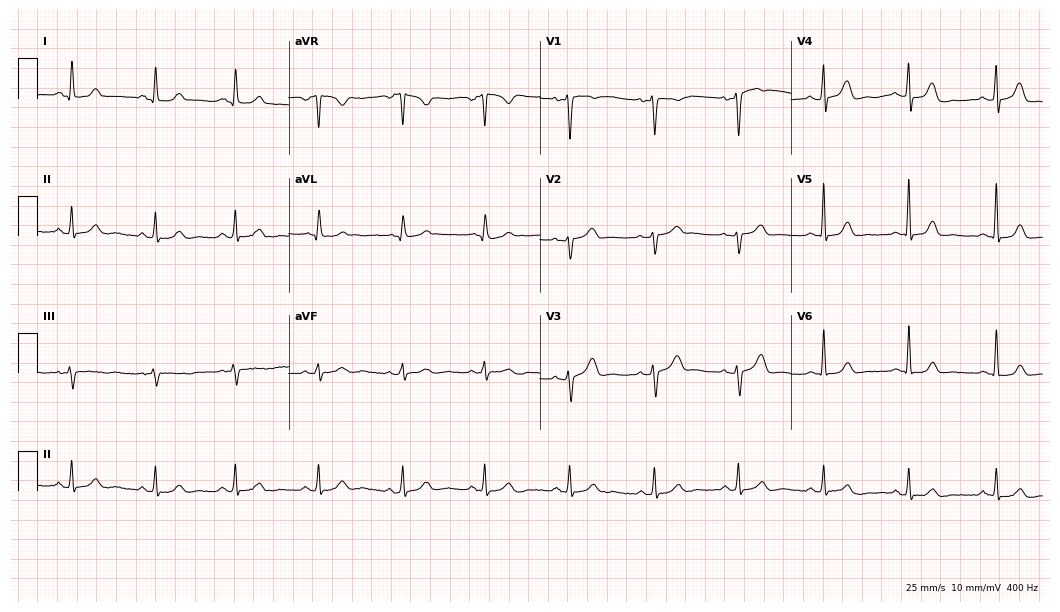
ECG (10.2-second recording at 400 Hz) — a 49-year-old female patient. Labelled as a normal ECG.